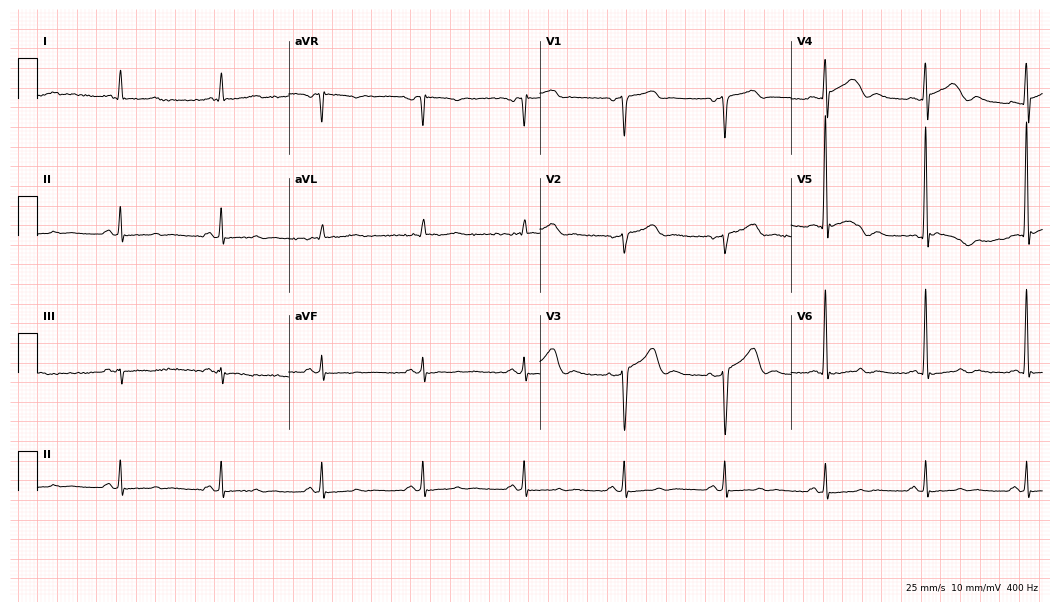
Electrocardiogram (10.2-second recording at 400 Hz), a 73-year-old male patient. Of the six screened findings (first-degree AV block, right bundle branch block (RBBB), left bundle branch block (LBBB), sinus bradycardia, atrial fibrillation (AF), sinus tachycardia), none is recorded.